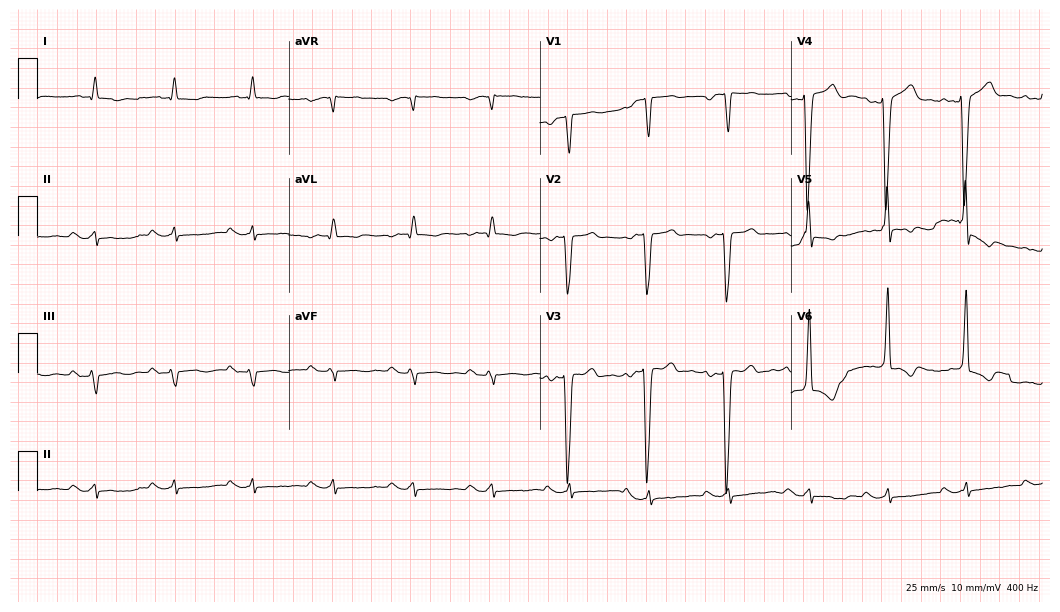
Electrocardiogram, a man, 72 years old. Interpretation includes first-degree AV block.